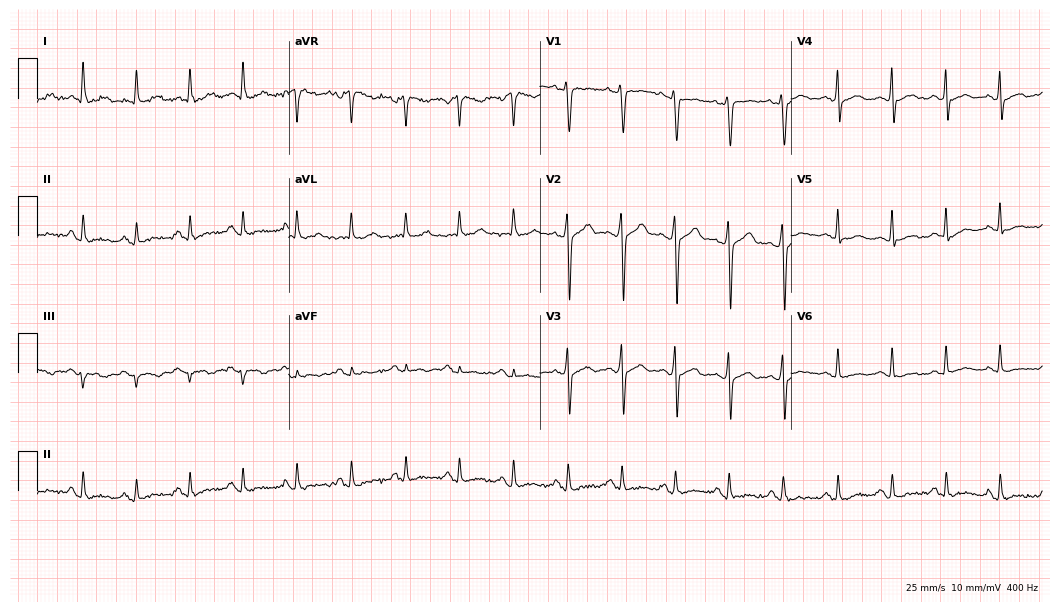
12-lead ECG from a male patient, 30 years old. Findings include sinus tachycardia (a sinus rate of 100 beats per minute or more).